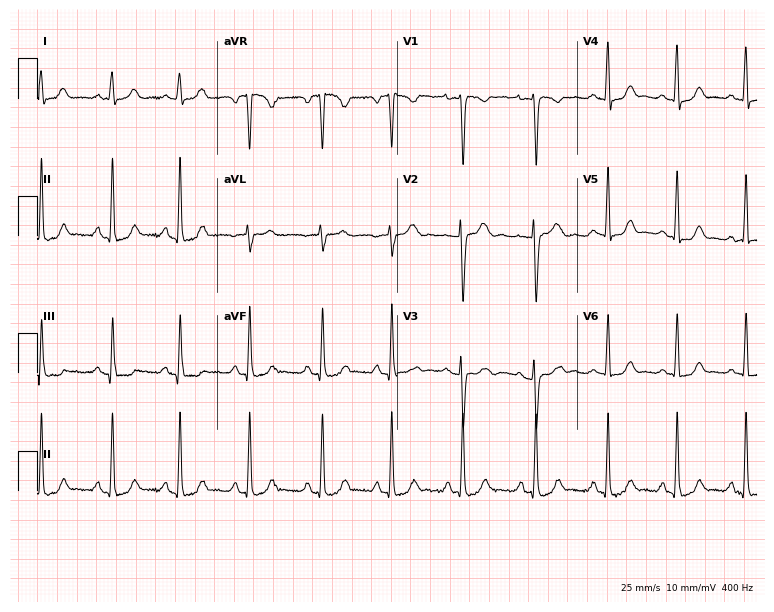
12-lead ECG from a woman, 31 years old. Labelled as a normal ECG.